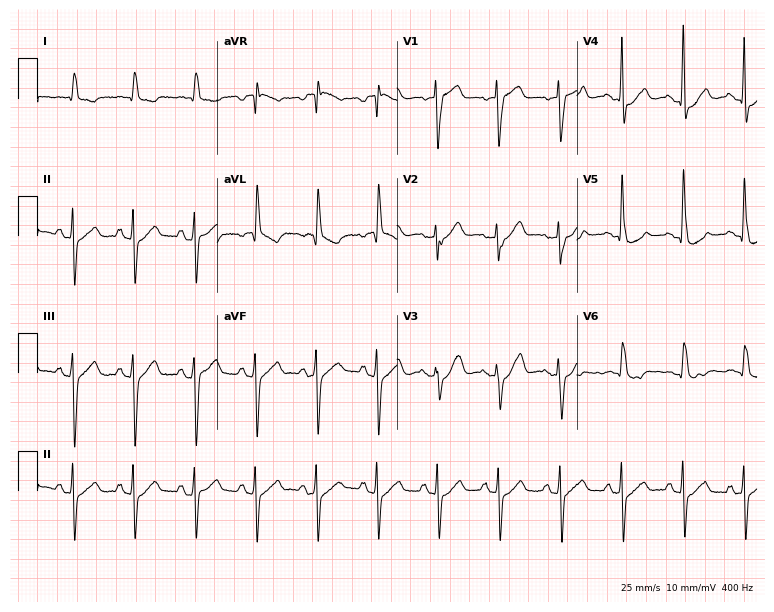
Resting 12-lead electrocardiogram (7.3-second recording at 400 Hz). Patient: an 81-year-old female. None of these six findings is recorded: first-degree AV block, right bundle branch block, left bundle branch block, sinus bradycardia, atrial fibrillation, sinus tachycardia. Findings outside these six are not listed.